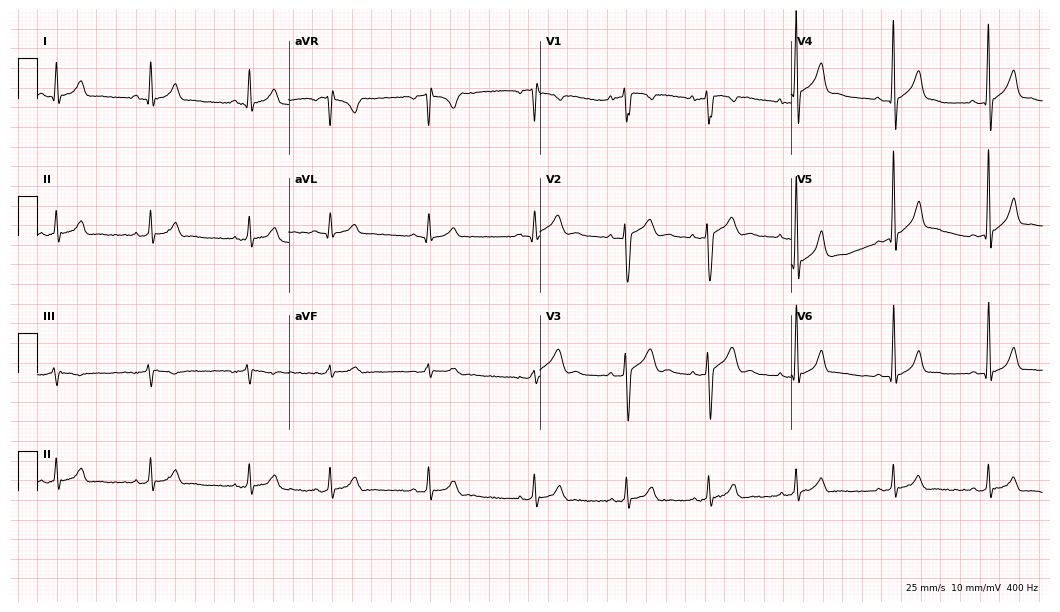
Resting 12-lead electrocardiogram (10.2-second recording at 400 Hz). Patient: a male, 19 years old. Read as a normal ECG.